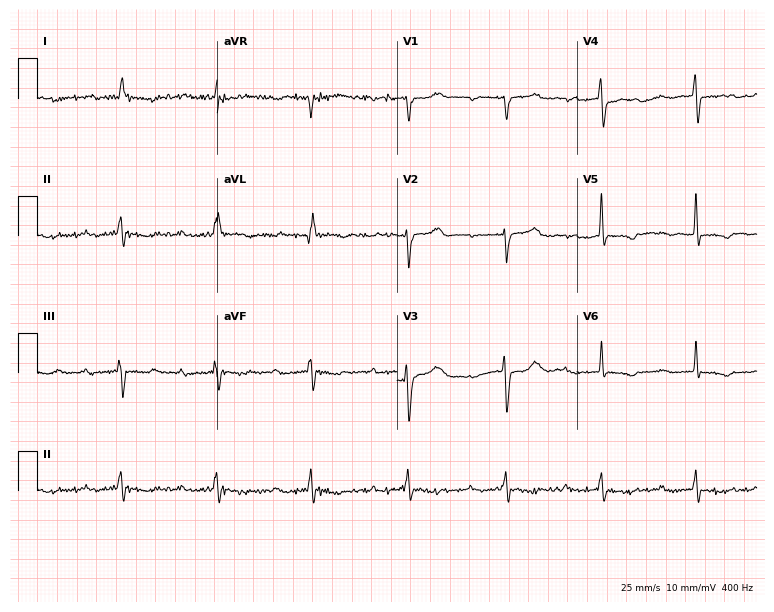
ECG — an 85-year-old woman. Screened for six findings — first-degree AV block, right bundle branch block (RBBB), left bundle branch block (LBBB), sinus bradycardia, atrial fibrillation (AF), sinus tachycardia — none is recorded.